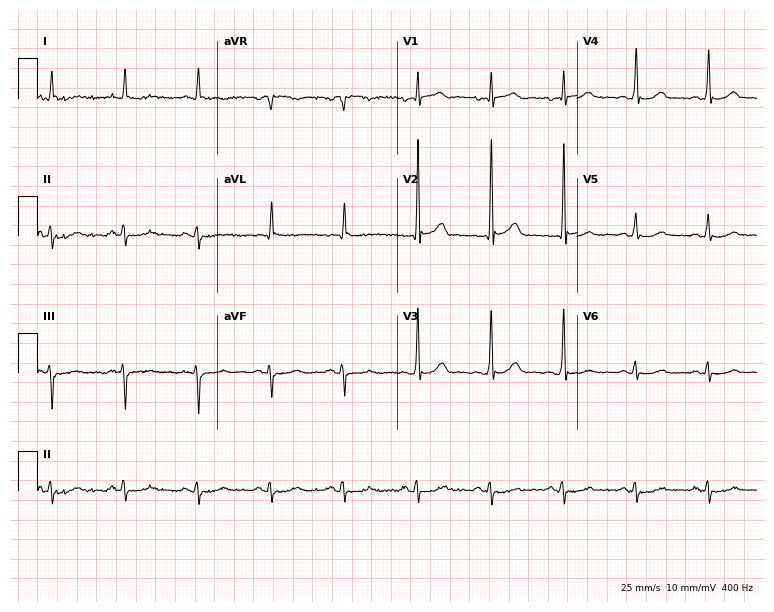
Electrocardiogram, a male, 37 years old. Overall reading on record: normal ECG.